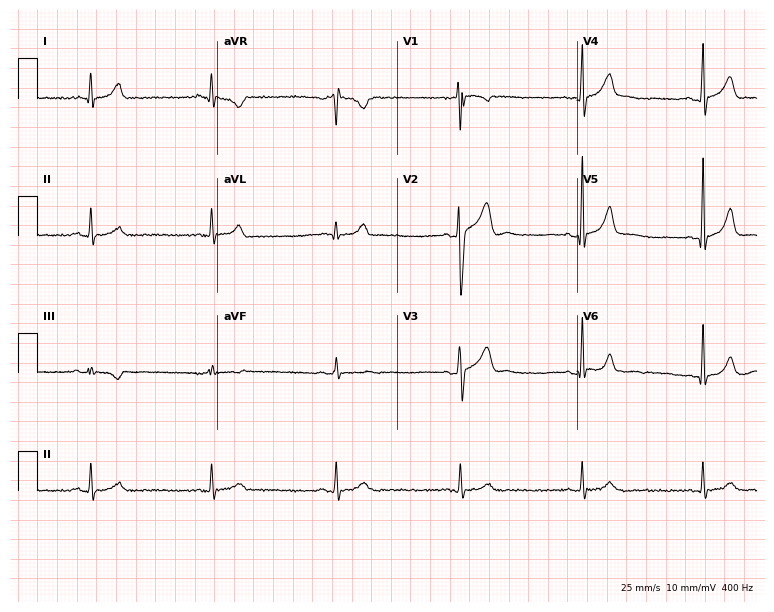
Electrocardiogram (7.3-second recording at 400 Hz), a male patient, 21 years old. Of the six screened findings (first-degree AV block, right bundle branch block (RBBB), left bundle branch block (LBBB), sinus bradycardia, atrial fibrillation (AF), sinus tachycardia), none is recorded. Other findings, if any, are not listed.